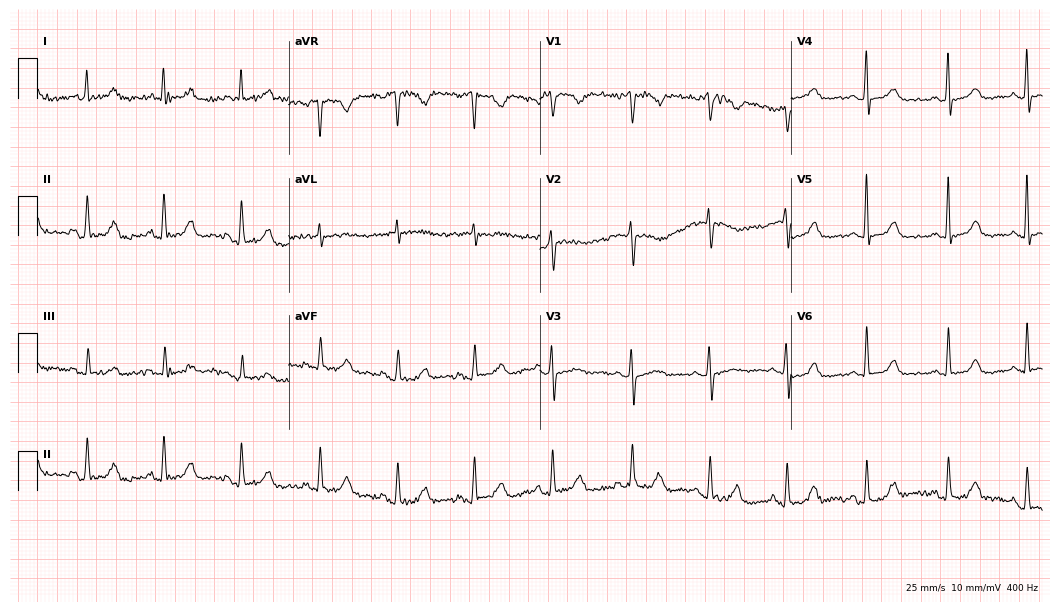
Standard 12-lead ECG recorded from a 68-year-old female (10.2-second recording at 400 Hz). None of these six findings is recorded: first-degree AV block, right bundle branch block, left bundle branch block, sinus bradycardia, atrial fibrillation, sinus tachycardia. Only these six findings were labelled.